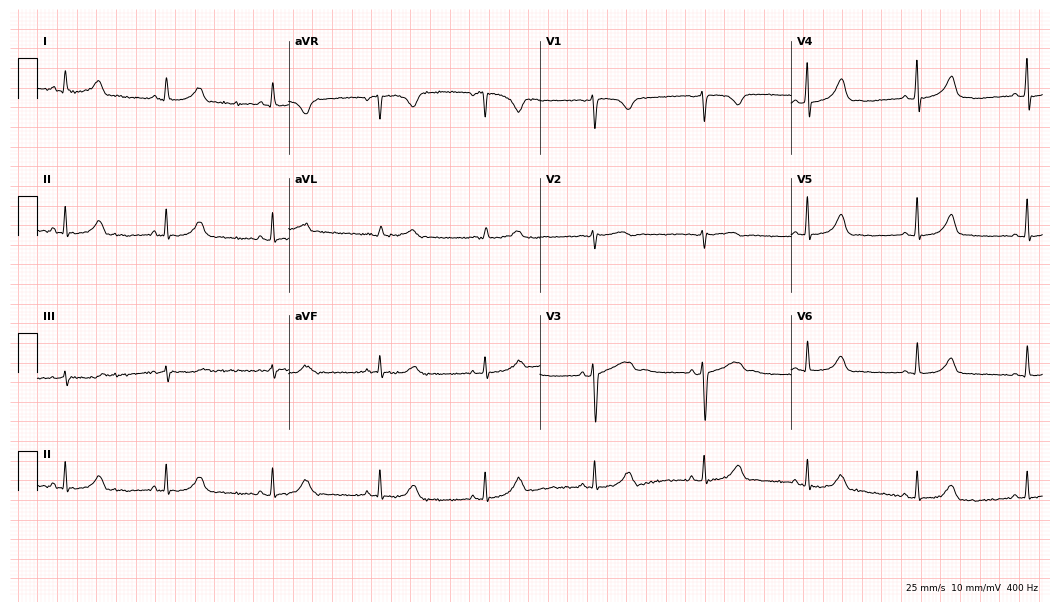
Standard 12-lead ECG recorded from a 42-year-old female patient (10.2-second recording at 400 Hz). Read as a normal ECG.